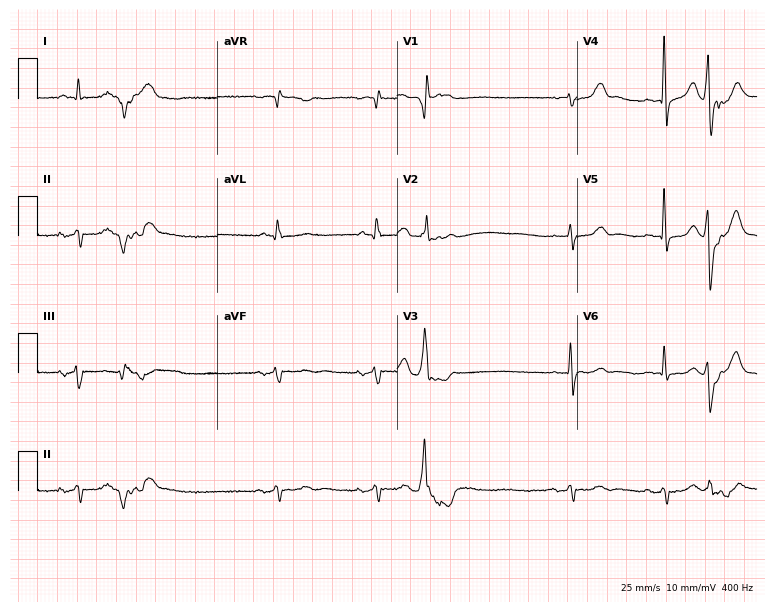
Standard 12-lead ECG recorded from a man, 76 years old. None of these six findings is recorded: first-degree AV block, right bundle branch block (RBBB), left bundle branch block (LBBB), sinus bradycardia, atrial fibrillation (AF), sinus tachycardia.